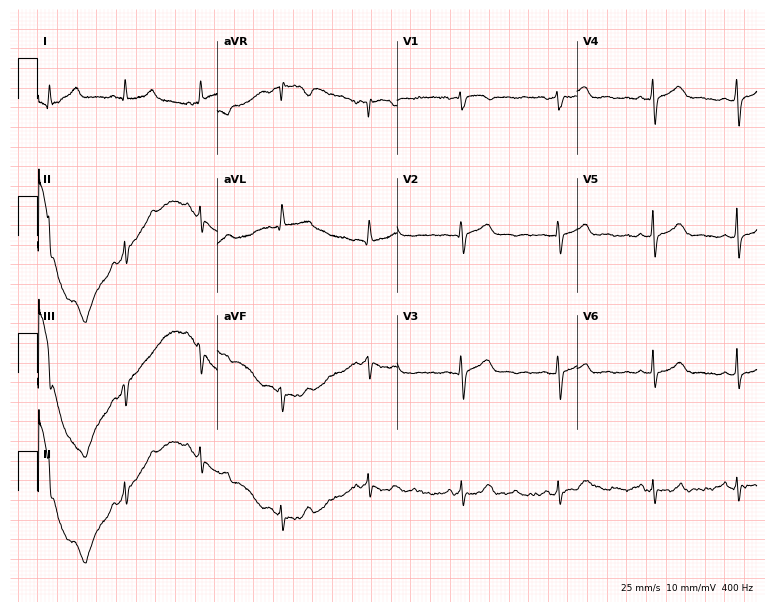
Electrocardiogram, a 50-year-old female. Of the six screened findings (first-degree AV block, right bundle branch block (RBBB), left bundle branch block (LBBB), sinus bradycardia, atrial fibrillation (AF), sinus tachycardia), none is recorded. Only these six findings were labelled.